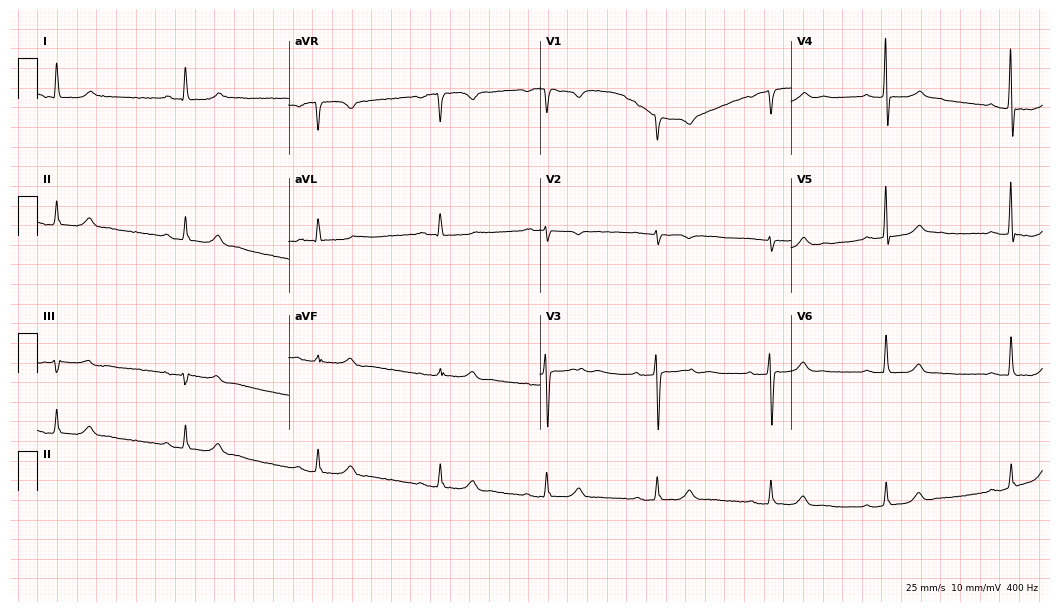
Resting 12-lead electrocardiogram (10.2-second recording at 400 Hz). Patient: a woman, 74 years old. None of these six findings is recorded: first-degree AV block, right bundle branch block, left bundle branch block, sinus bradycardia, atrial fibrillation, sinus tachycardia.